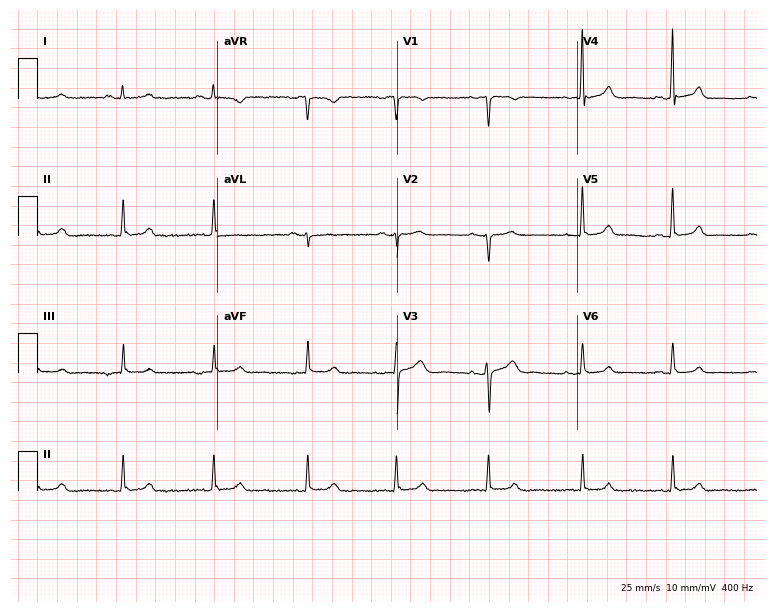
ECG — a female patient, 40 years old. Screened for six findings — first-degree AV block, right bundle branch block (RBBB), left bundle branch block (LBBB), sinus bradycardia, atrial fibrillation (AF), sinus tachycardia — none is recorded. Findings outside these six are not listed.